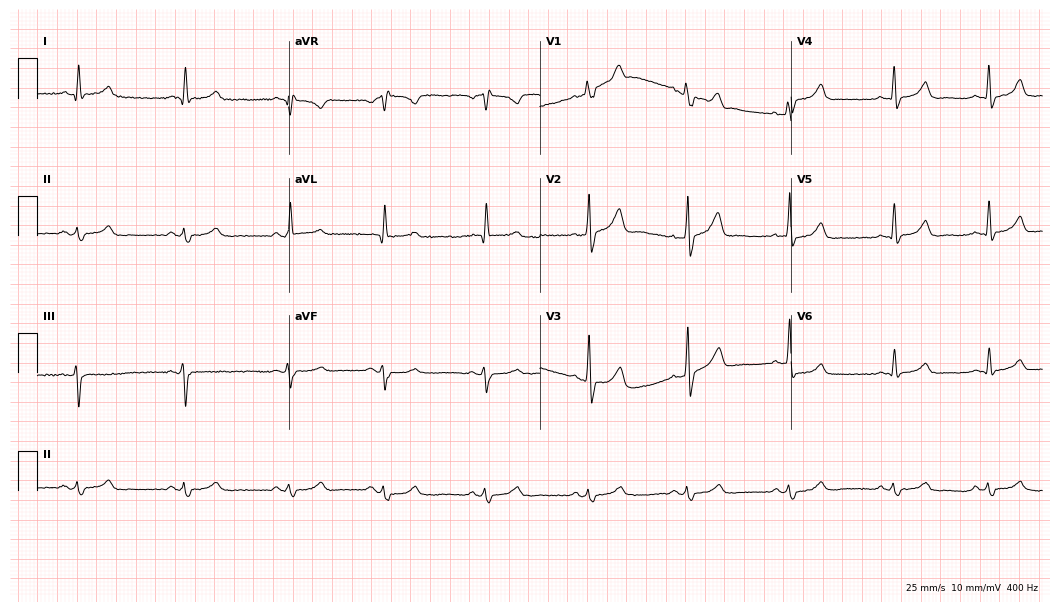
12-lead ECG (10.2-second recording at 400 Hz) from a male patient, 74 years old. Screened for six findings — first-degree AV block, right bundle branch block (RBBB), left bundle branch block (LBBB), sinus bradycardia, atrial fibrillation (AF), sinus tachycardia — none is recorded. Findings outside these six are not listed.